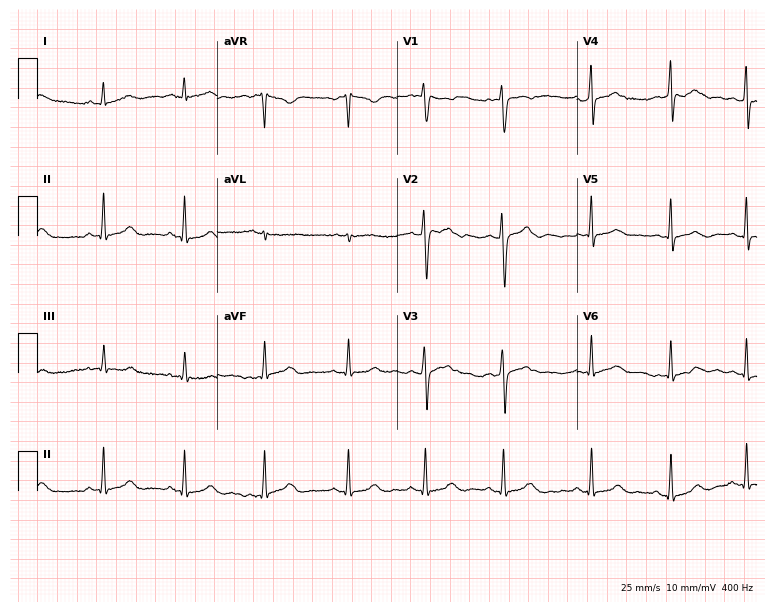
Resting 12-lead electrocardiogram. Patient: a female, 26 years old. None of these six findings is recorded: first-degree AV block, right bundle branch block, left bundle branch block, sinus bradycardia, atrial fibrillation, sinus tachycardia.